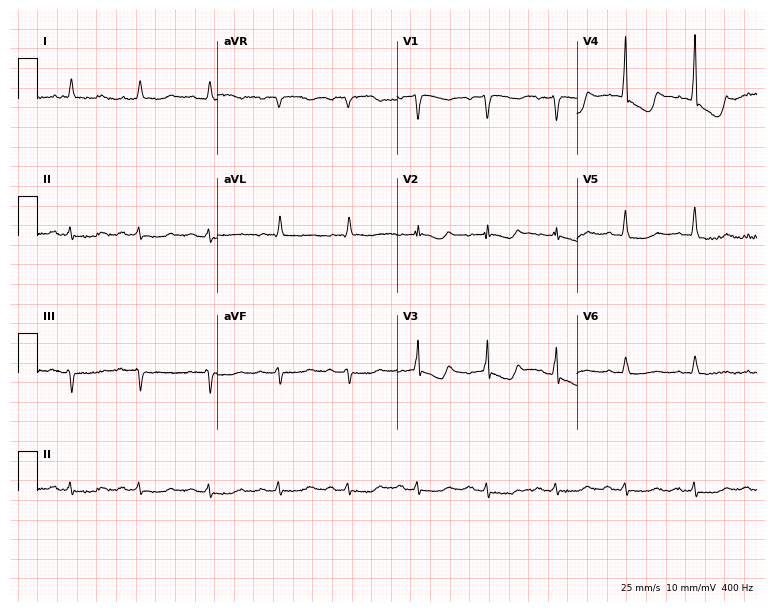
Resting 12-lead electrocardiogram. Patient: a male, 74 years old. None of these six findings is recorded: first-degree AV block, right bundle branch block, left bundle branch block, sinus bradycardia, atrial fibrillation, sinus tachycardia. Other findings, if any, are not listed.